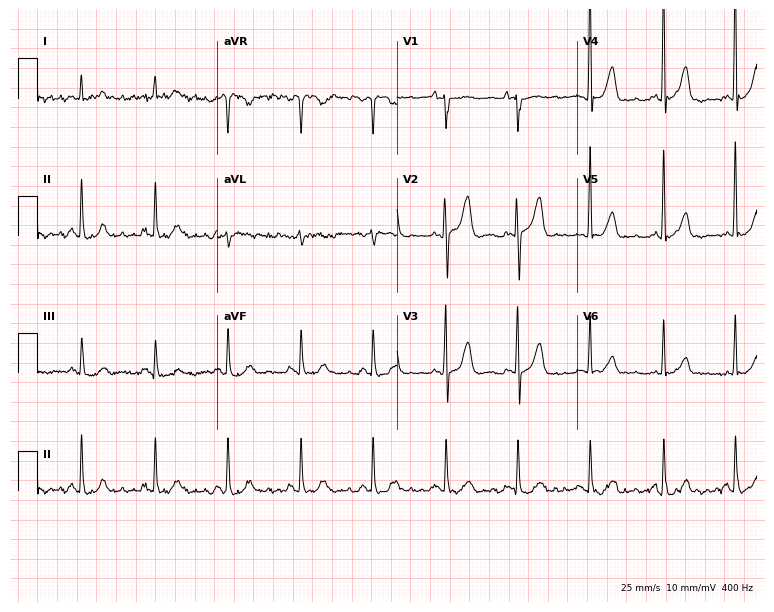
ECG — a female patient, 85 years old. Screened for six findings — first-degree AV block, right bundle branch block (RBBB), left bundle branch block (LBBB), sinus bradycardia, atrial fibrillation (AF), sinus tachycardia — none is recorded. Other findings, if any, are not listed.